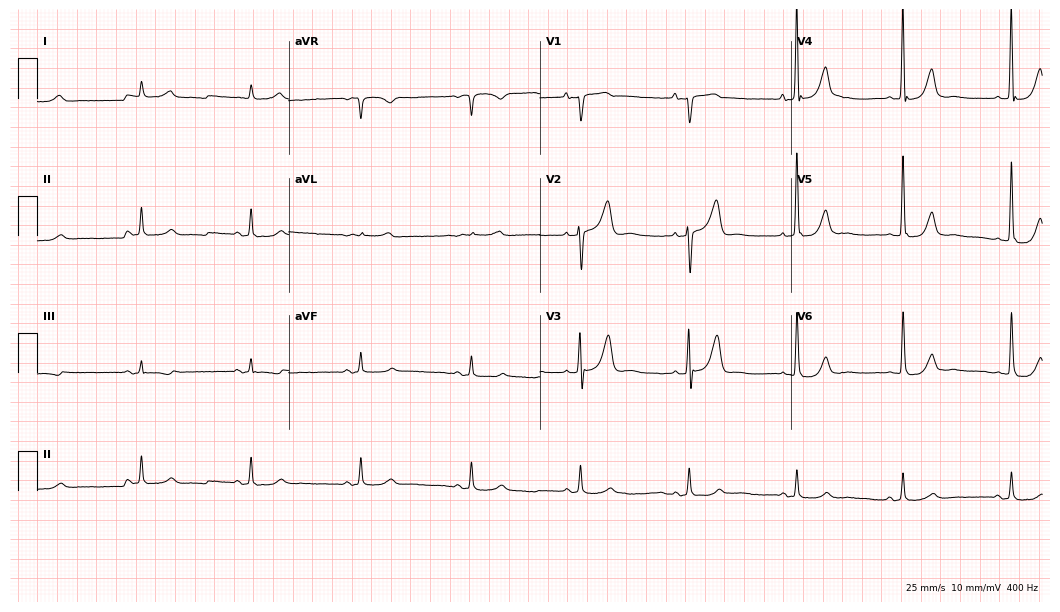
12-lead ECG (10.2-second recording at 400 Hz) from a man, 83 years old. Screened for six findings — first-degree AV block, right bundle branch block, left bundle branch block, sinus bradycardia, atrial fibrillation, sinus tachycardia — none is recorded. Other findings, if any, are not listed.